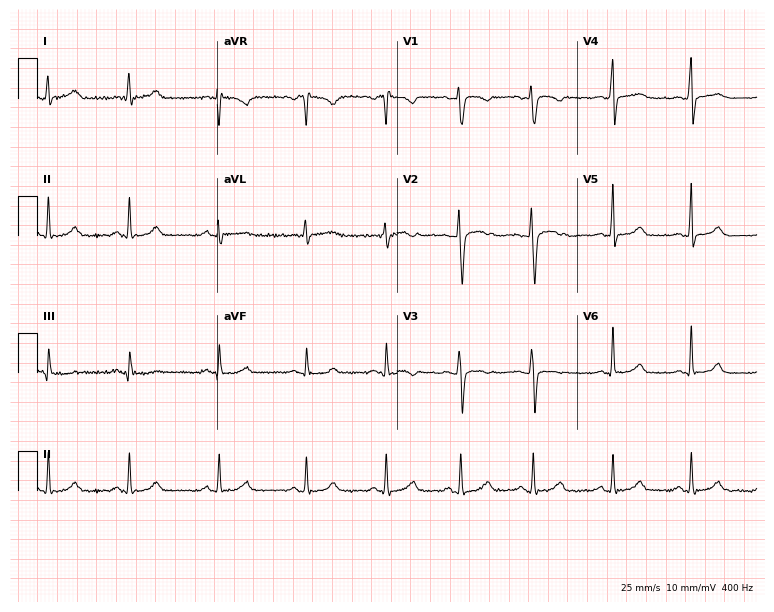
Electrocardiogram (7.3-second recording at 400 Hz), a 32-year-old woman. Of the six screened findings (first-degree AV block, right bundle branch block, left bundle branch block, sinus bradycardia, atrial fibrillation, sinus tachycardia), none is recorded. Other findings, if any, are not listed.